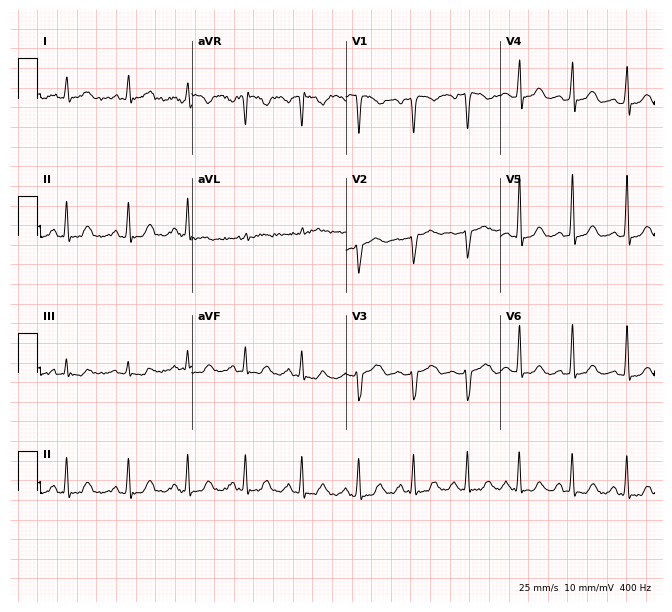
12-lead ECG from a 29-year-old female patient. Shows sinus tachycardia (a sinus rate of 100 beats per minute or more).